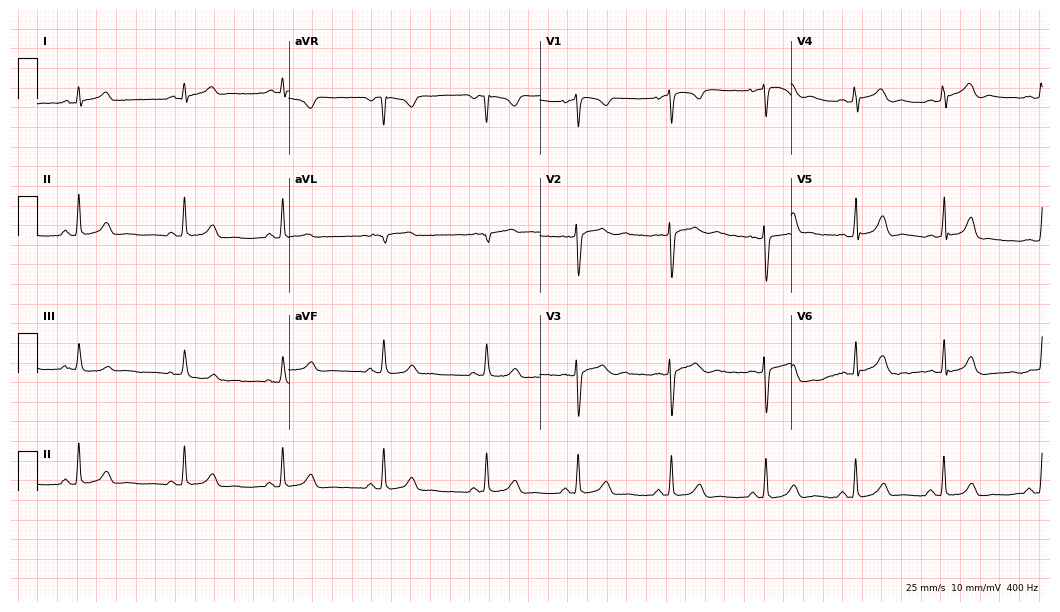
12-lead ECG from a 22-year-old female (10.2-second recording at 400 Hz). Recorded interpretation: within normal limits.